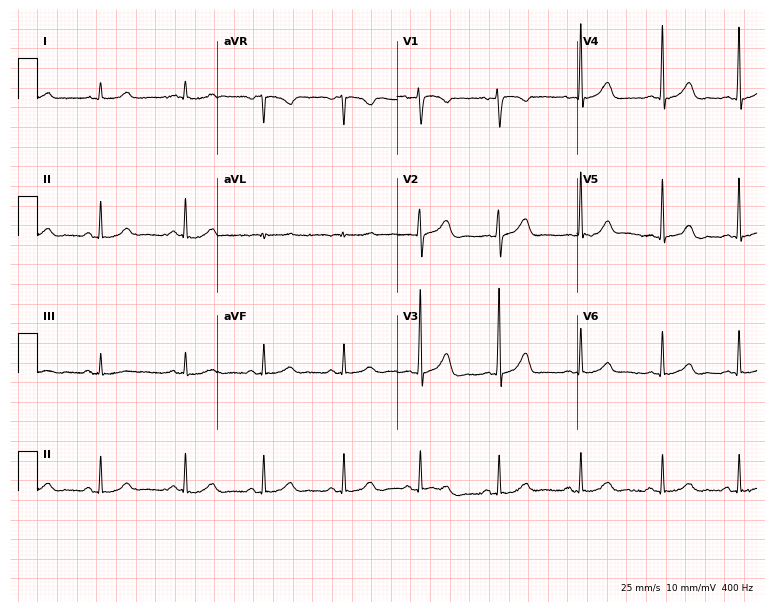
ECG — a woman, 26 years old. Labelled as a normal ECG.